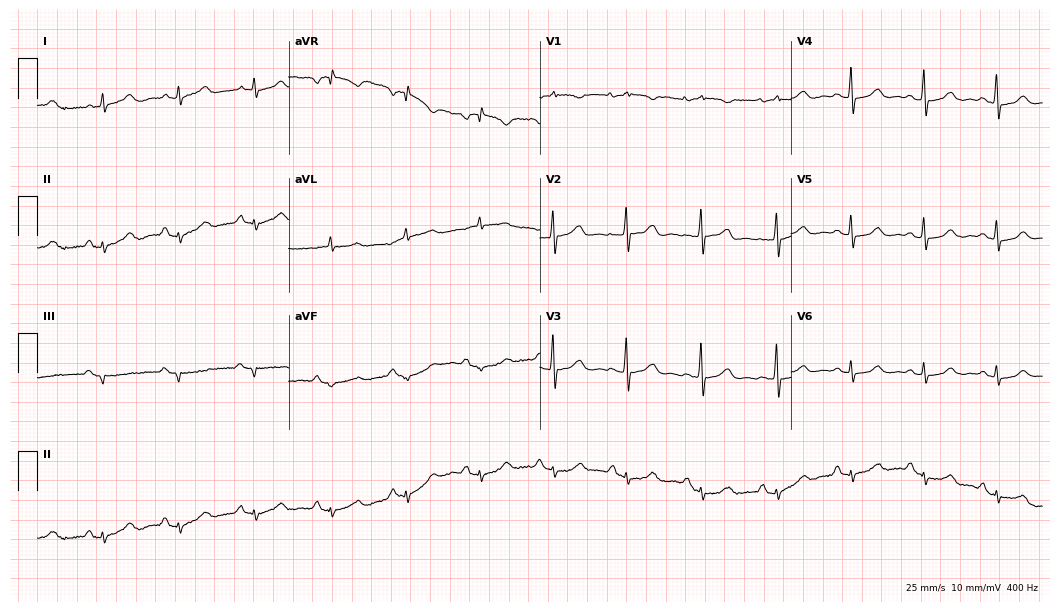
12-lead ECG from a female patient, 75 years old. Labelled as a normal ECG.